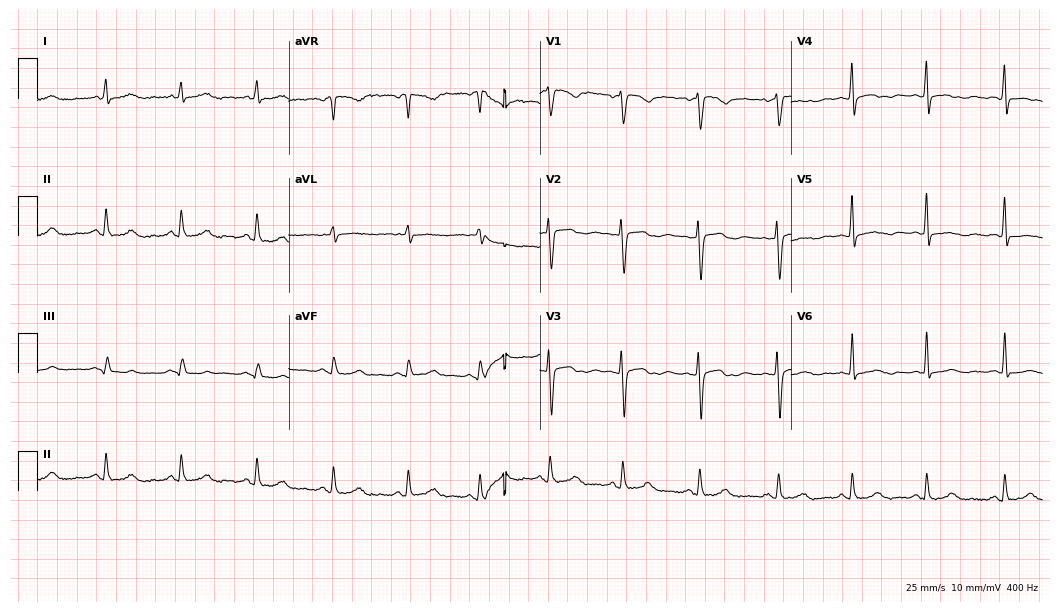
12-lead ECG from a 41-year-old female (10.2-second recording at 400 Hz). Recorded interpretation: within normal limits.